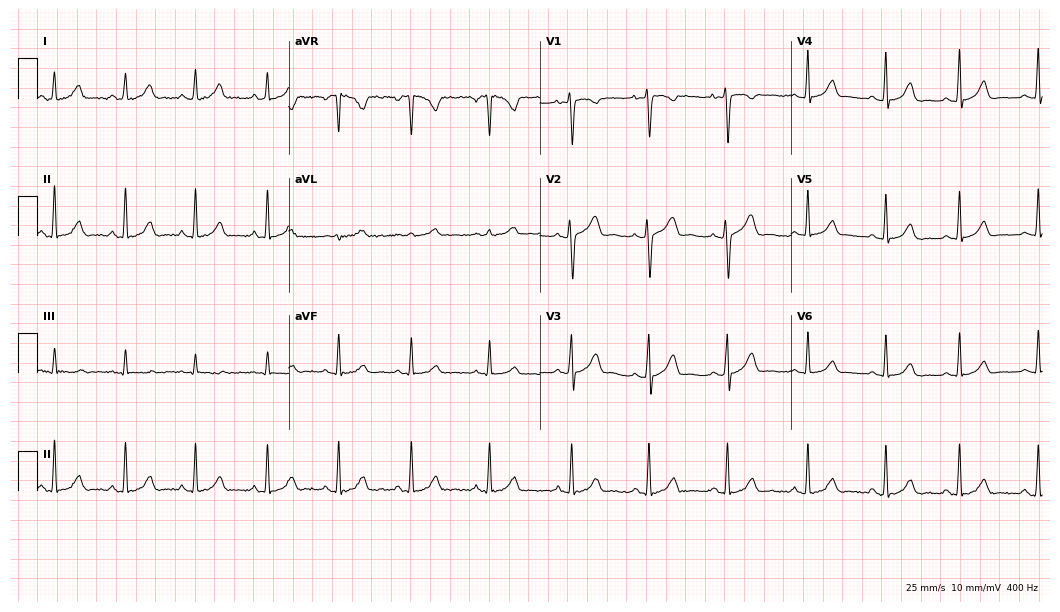
Standard 12-lead ECG recorded from a woman, 26 years old. Read as a normal ECG.